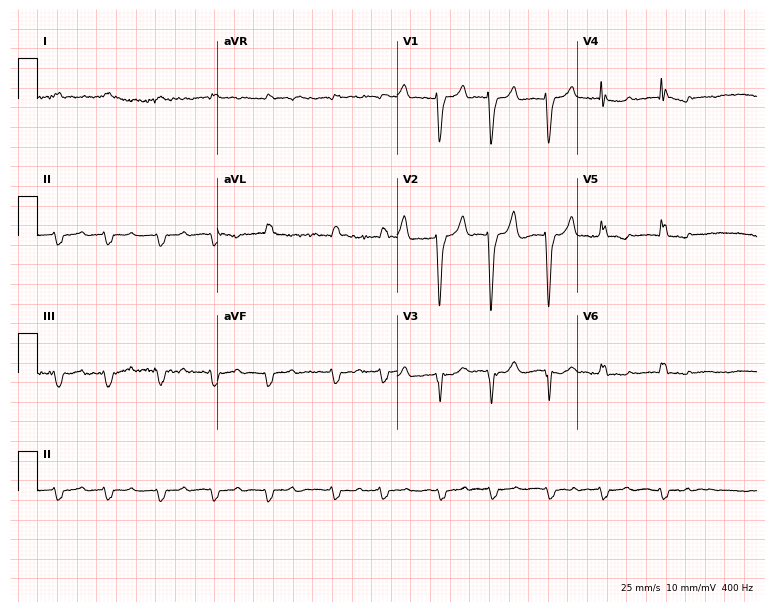
12-lead ECG (7.3-second recording at 400 Hz) from an 82-year-old male. Findings include atrial fibrillation.